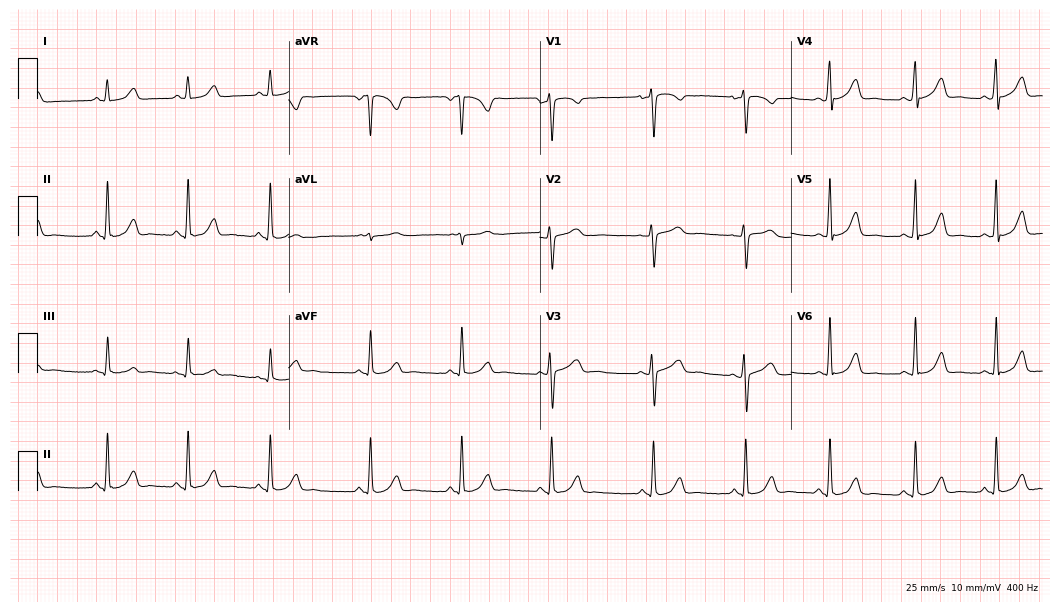
12-lead ECG from a female patient, 19 years old. Recorded interpretation: within normal limits.